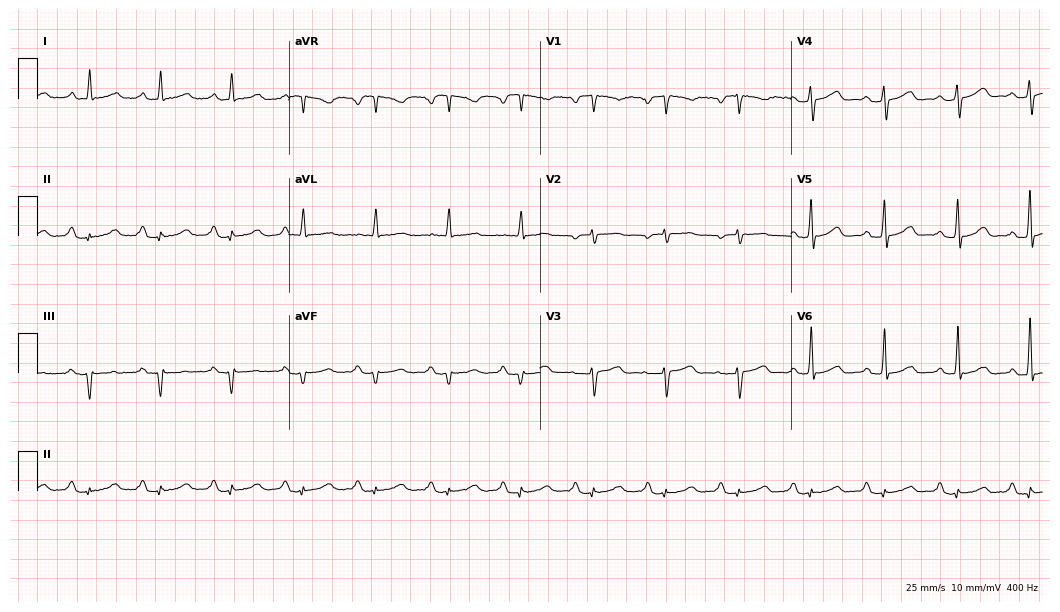
12-lead ECG from a female, 58 years old. Recorded interpretation: within normal limits.